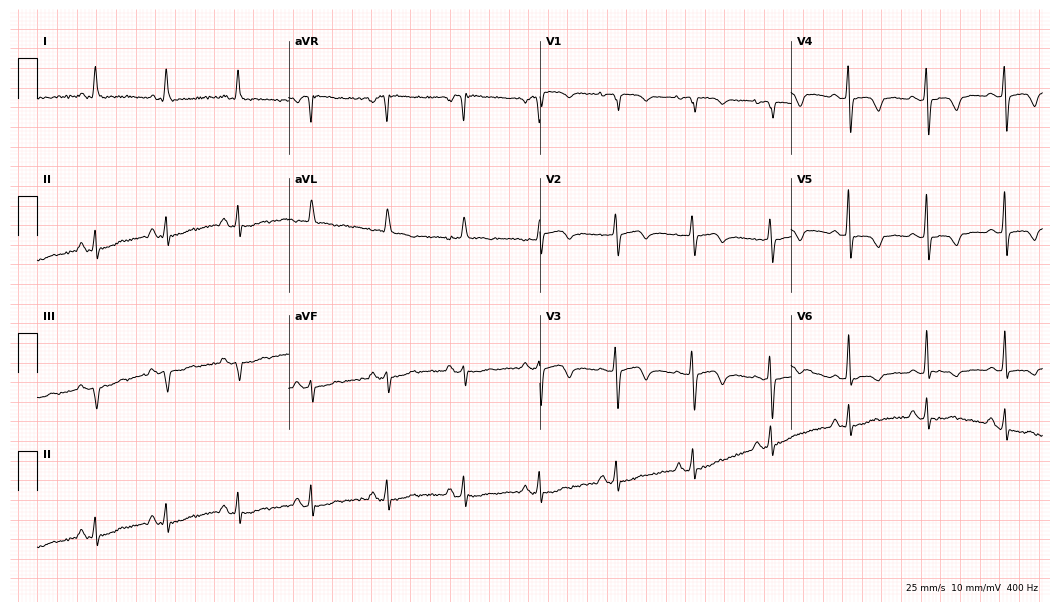
Resting 12-lead electrocardiogram. Patient: an 81-year-old male. Read as a normal ECG.